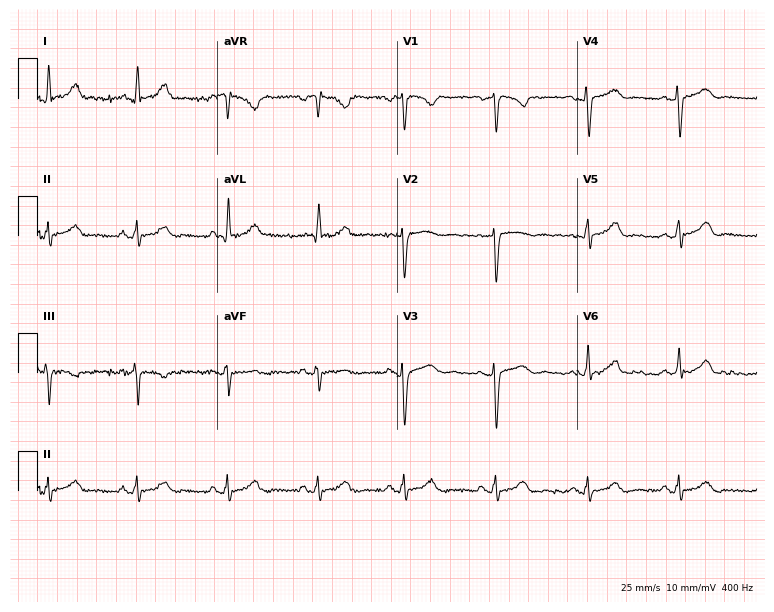
12-lead ECG from a 49-year-old female patient. Recorded interpretation: within normal limits.